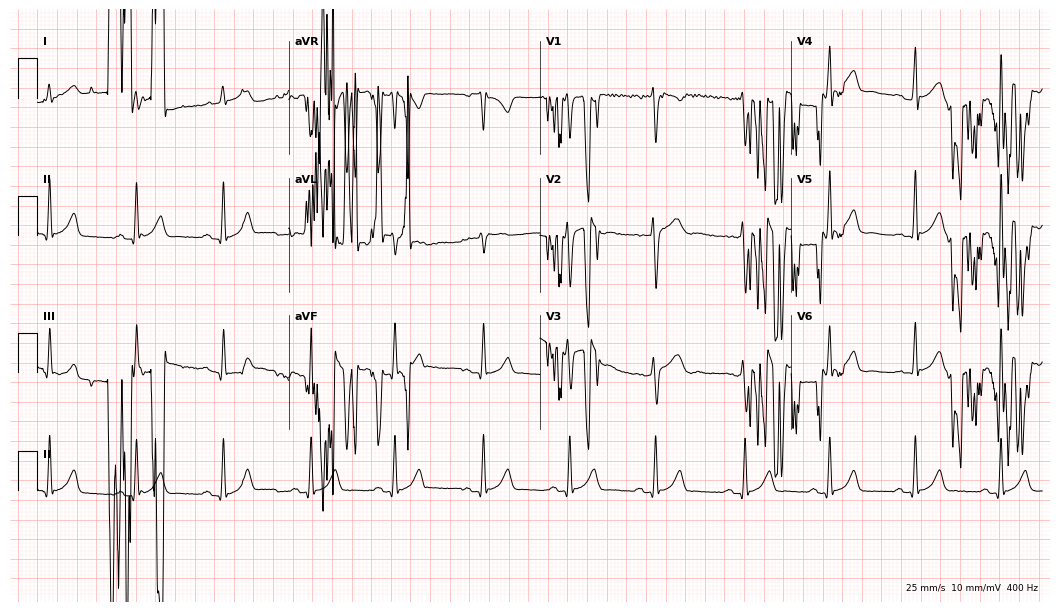
12-lead ECG from a man, 30 years old. No first-degree AV block, right bundle branch block (RBBB), left bundle branch block (LBBB), sinus bradycardia, atrial fibrillation (AF) or sinus tachycardia recorded for this tracing. Other findings, if any, are not listed.